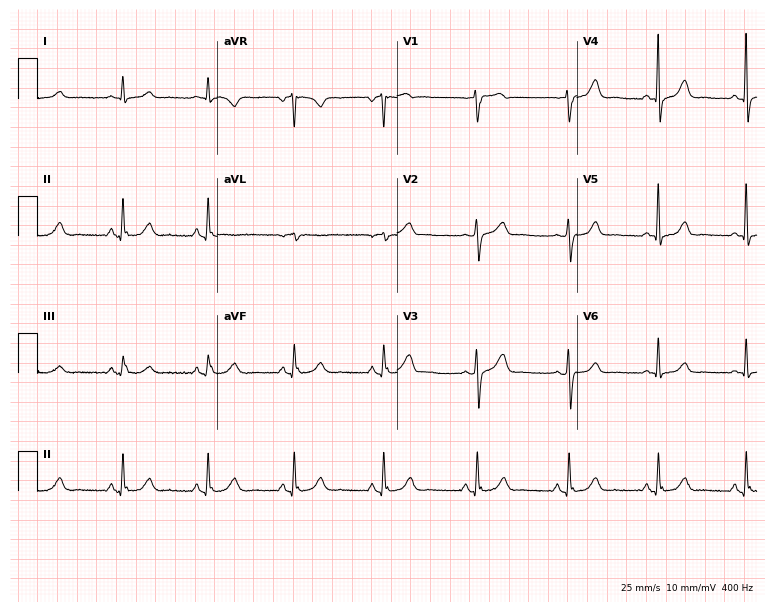
12-lead ECG (7.3-second recording at 400 Hz) from a woman, 62 years old. Labelled as a normal ECG.